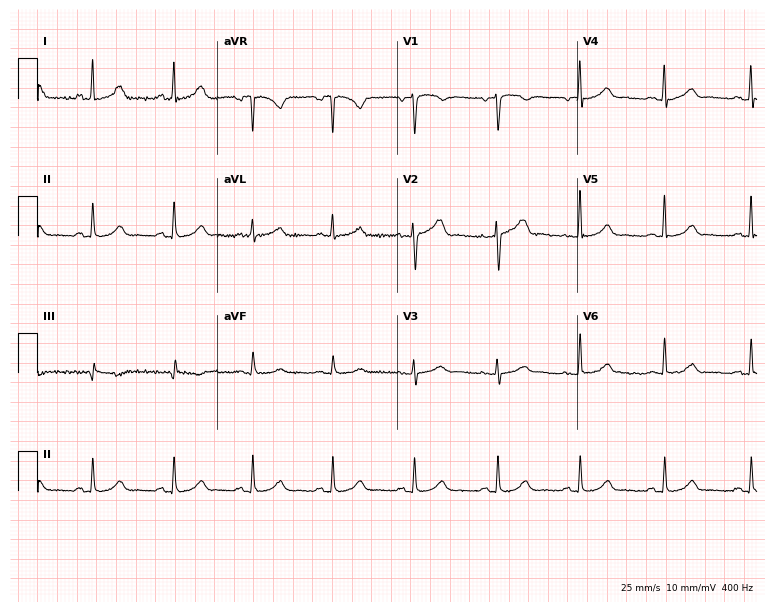
12-lead ECG from a 58-year-old female. Recorded interpretation: within normal limits.